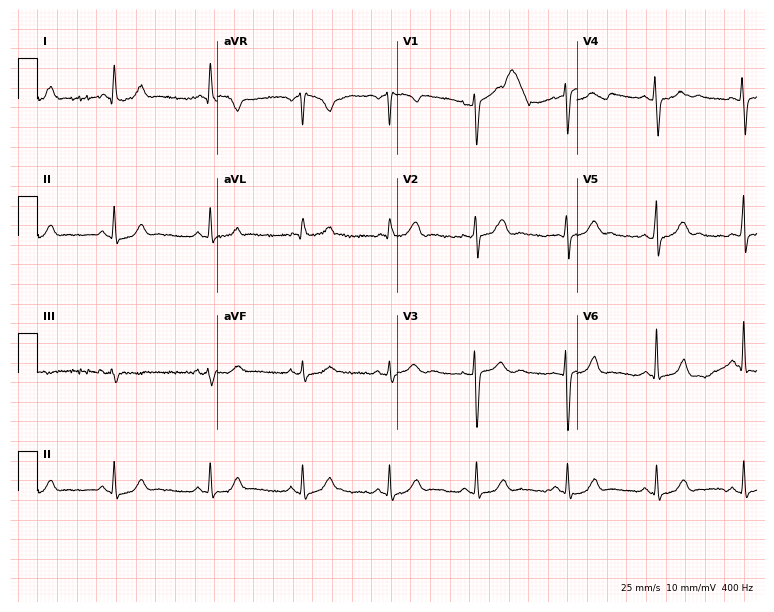
ECG — a man, 19 years old. Labelled as a normal ECG.